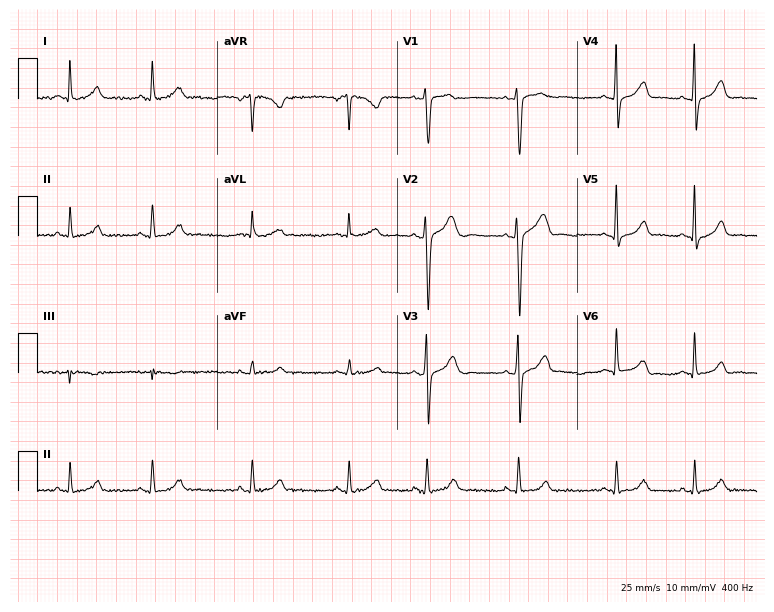
Standard 12-lead ECG recorded from a 30-year-old female (7.3-second recording at 400 Hz). None of these six findings is recorded: first-degree AV block, right bundle branch block, left bundle branch block, sinus bradycardia, atrial fibrillation, sinus tachycardia.